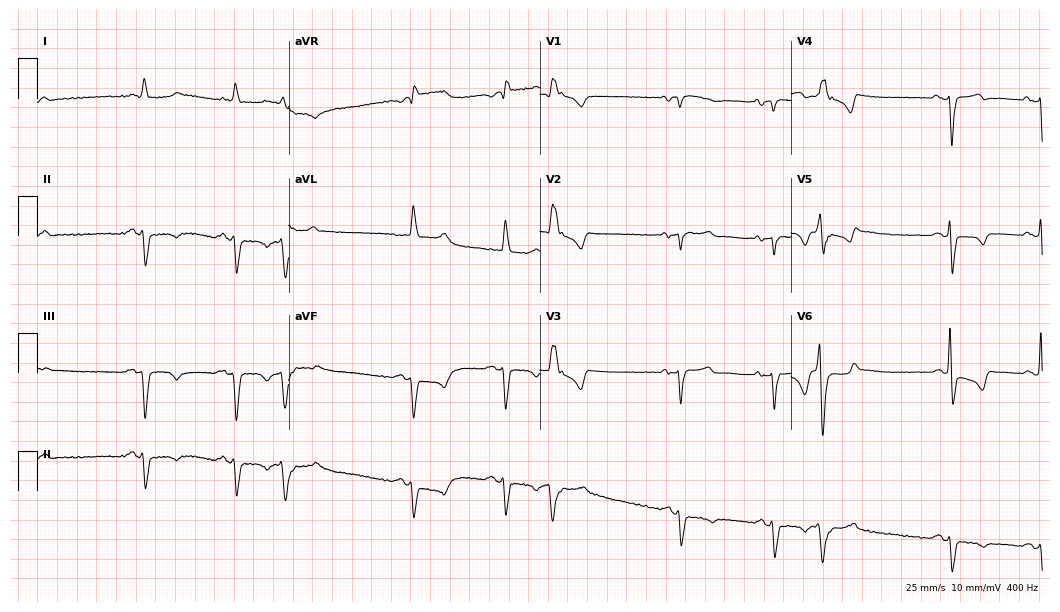
Electrocardiogram, an 86-year-old female patient. Interpretation includes left bundle branch block (LBBB).